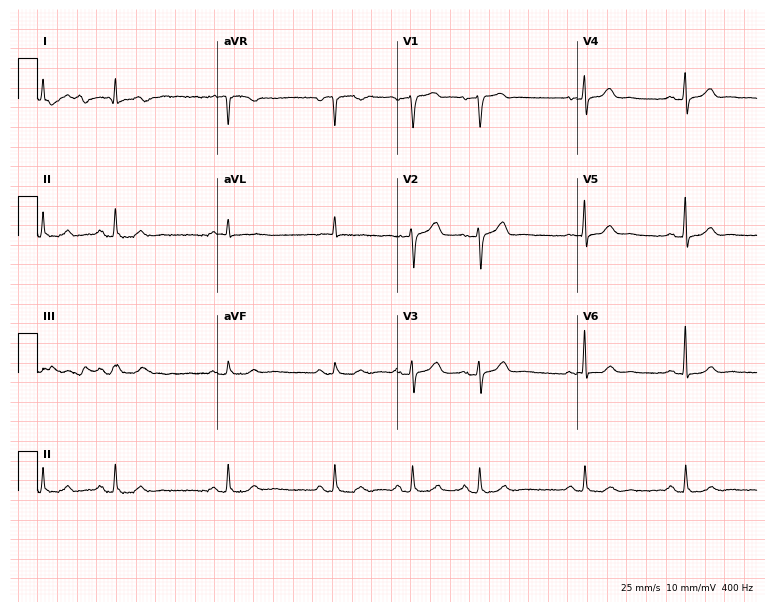
Standard 12-lead ECG recorded from a 56-year-old male patient (7.3-second recording at 400 Hz). None of these six findings is recorded: first-degree AV block, right bundle branch block, left bundle branch block, sinus bradycardia, atrial fibrillation, sinus tachycardia.